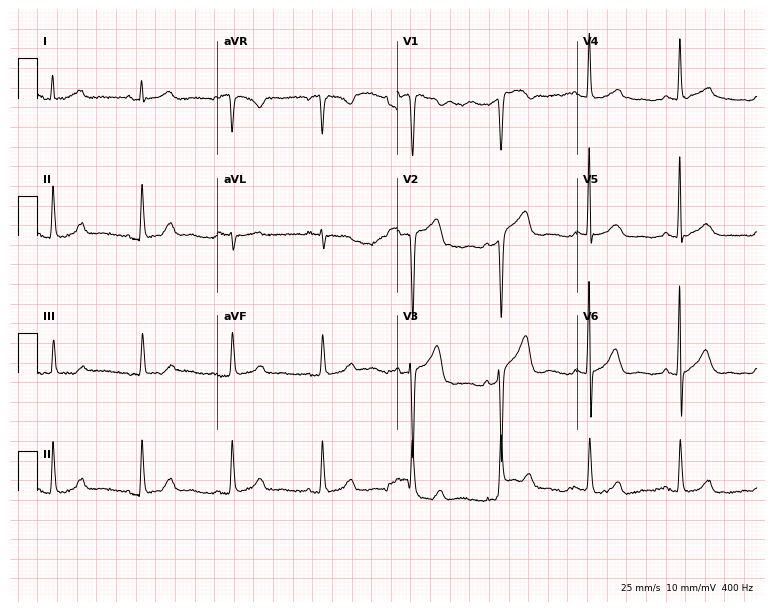
Electrocardiogram, a male, 67 years old. Of the six screened findings (first-degree AV block, right bundle branch block, left bundle branch block, sinus bradycardia, atrial fibrillation, sinus tachycardia), none is recorded. Only these six findings were labelled.